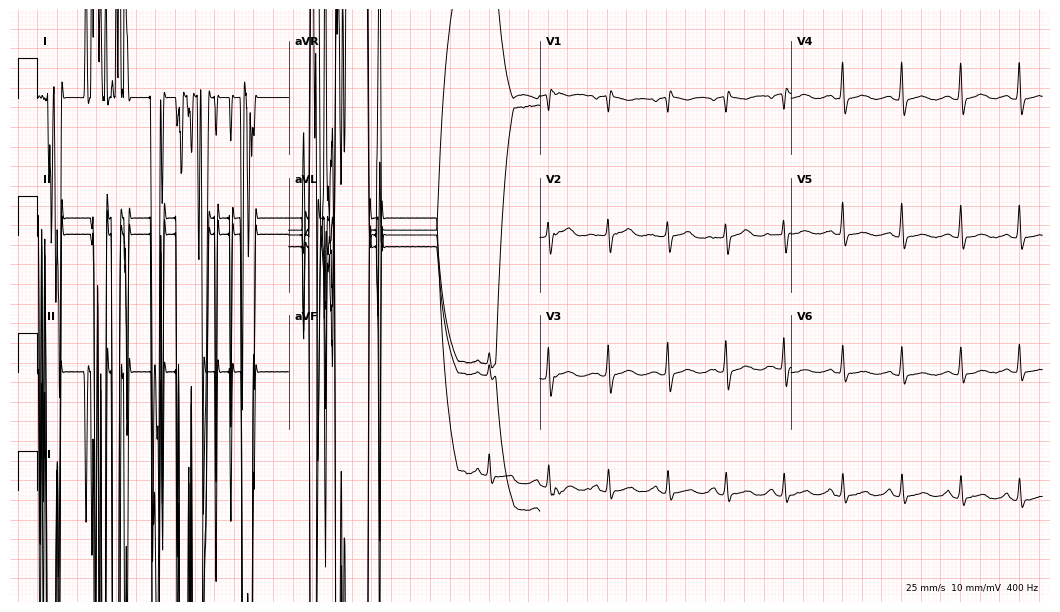
Standard 12-lead ECG recorded from a woman, 48 years old (10.2-second recording at 400 Hz). The tracing shows sinus tachycardia (a sinus rate of 100 beats per minute or more).